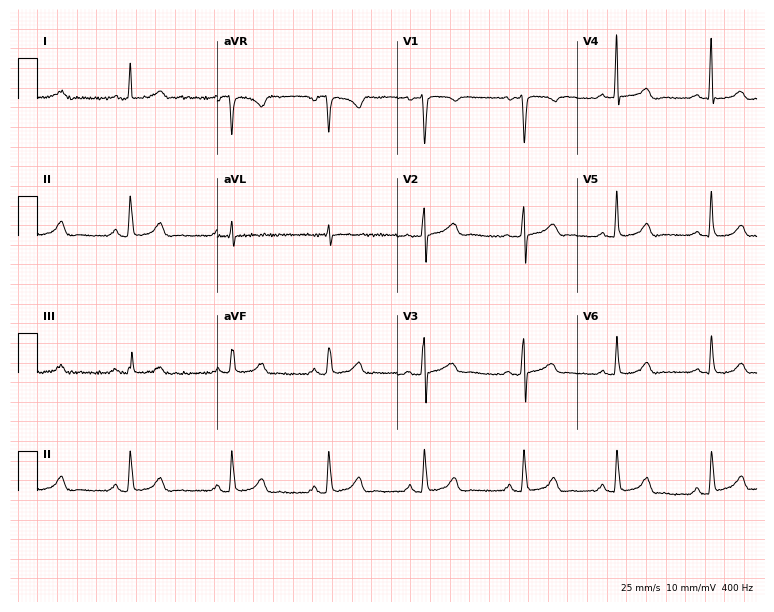
Resting 12-lead electrocardiogram (7.3-second recording at 400 Hz). Patient: a female, 33 years old. None of these six findings is recorded: first-degree AV block, right bundle branch block, left bundle branch block, sinus bradycardia, atrial fibrillation, sinus tachycardia. Only these six findings were labelled.